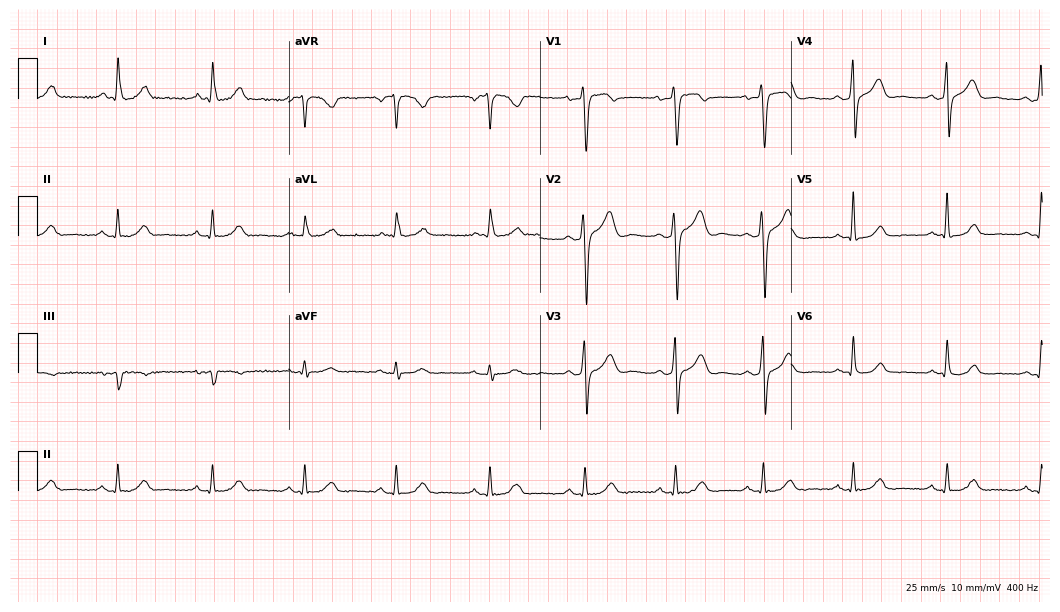
Resting 12-lead electrocardiogram (10.2-second recording at 400 Hz). Patient: a 54-year-old man. Read as a normal ECG.